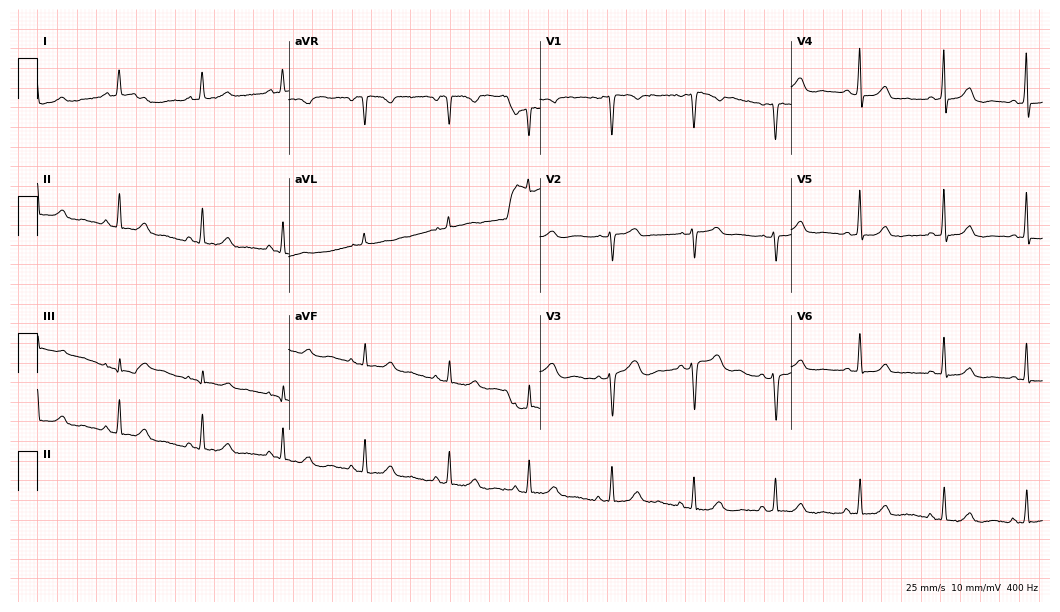
ECG (10.2-second recording at 400 Hz) — a 43-year-old woman. Labelled as a normal ECG.